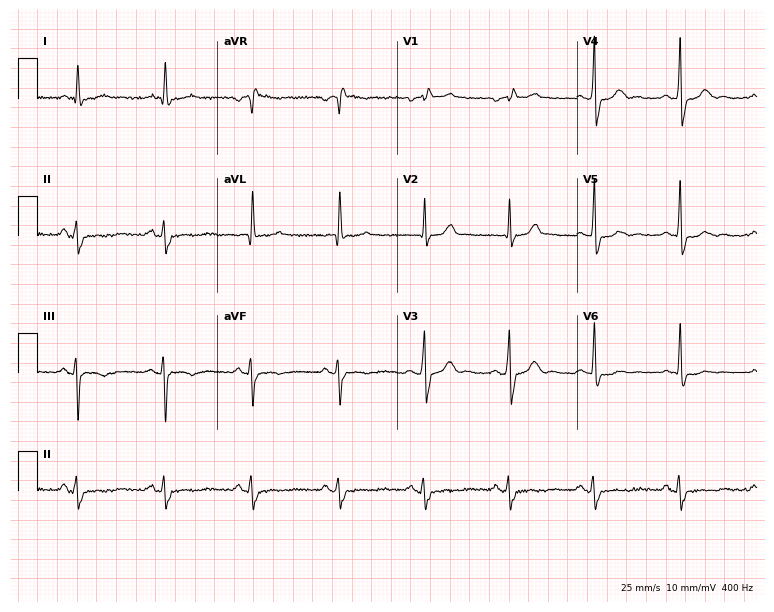
12-lead ECG from a man, 63 years old. Screened for six findings — first-degree AV block, right bundle branch block (RBBB), left bundle branch block (LBBB), sinus bradycardia, atrial fibrillation (AF), sinus tachycardia — none is recorded. Findings outside these six are not listed.